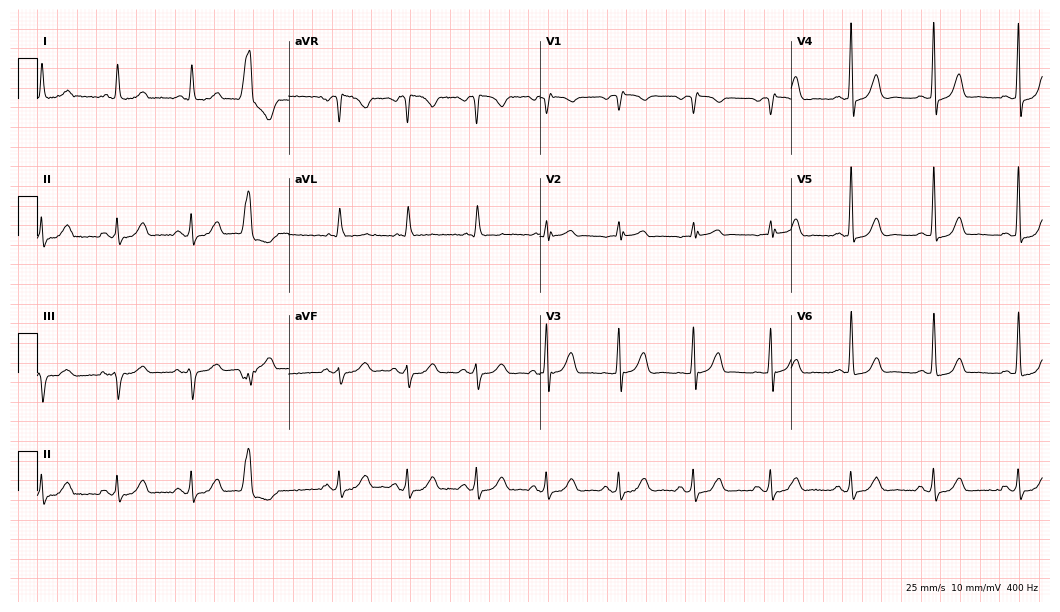
12-lead ECG from a female, 72 years old (10.2-second recording at 400 Hz). No first-degree AV block, right bundle branch block (RBBB), left bundle branch block (LBBB), sinus bradycardia, atrial fibrillation (AF) or sinus tachycardia recorded for this tracing.